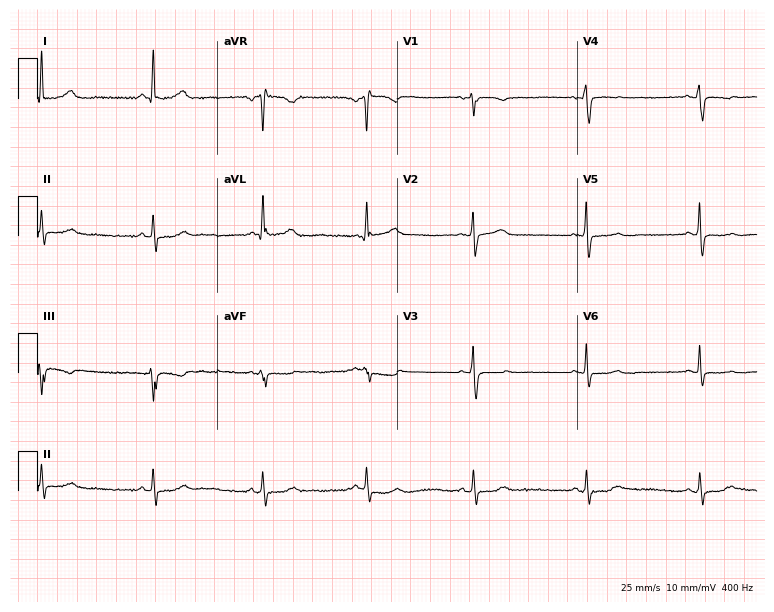
ECG (7.3-second recording at 400 Hz) — a woman, 57 years old. Screened for six findings — first-degree AV block, right bundle branch block, left bundle branch block, sinus bradycardia, atrial fibrillation, sinus tachycardia — none is recorded.